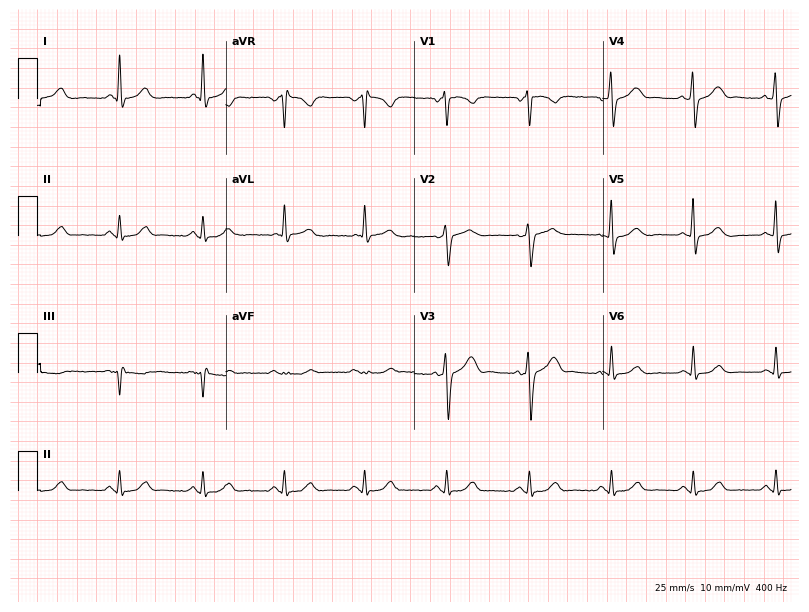
12-lead ECG (7.7-second recording at 400 Hz) from a 56-year-old male. Labelled as a normal ECG.